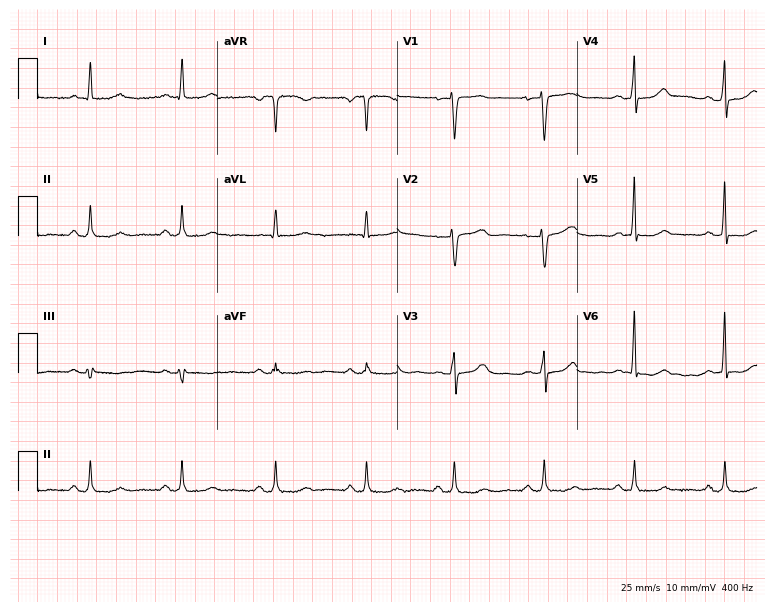
12-lead ECG from a female, 53 years old. Screened for six findings — first-degree AV block, right bundle branch block, left bundle branch block, sinus bradycardia, atrial fibrillation, sinus tachycardia — none is recorded. Only these six findings were labelled.